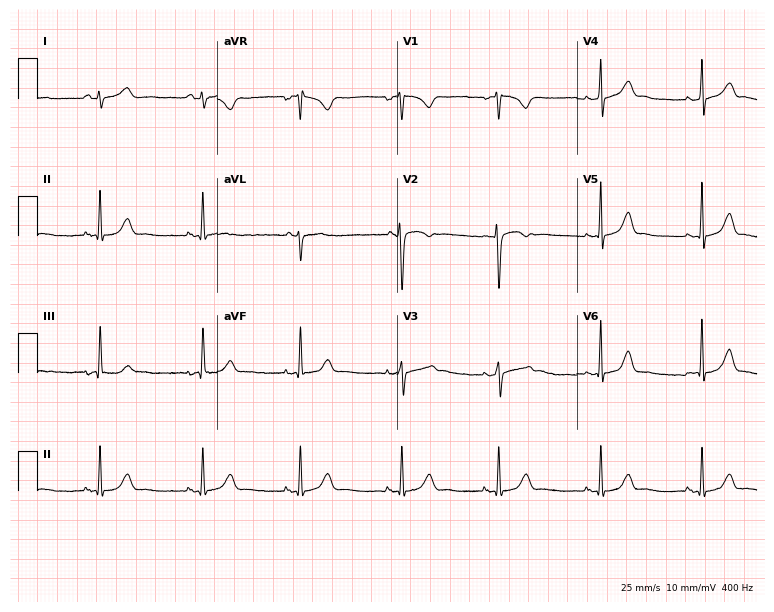
Electrocardiogram, a female, 24 years old. Of the six screened findings (first-degree AV block, right bundle branch block (RBBB), left bundle branch block (LBBB), sinus bradycardia, atrial fibrillation (AF), sinus tachycardia), none is recorded.